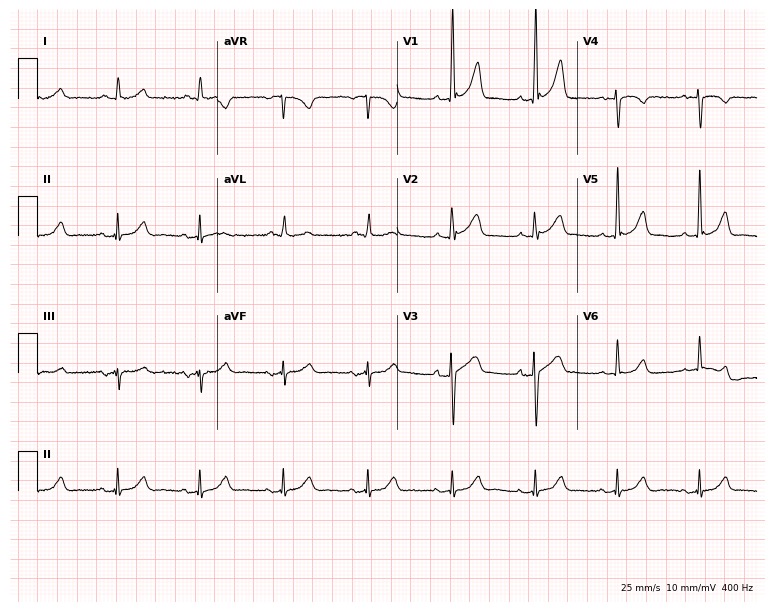
Electrocardiogram, a man, 69 years old. Overall reading on record: normal ECG.